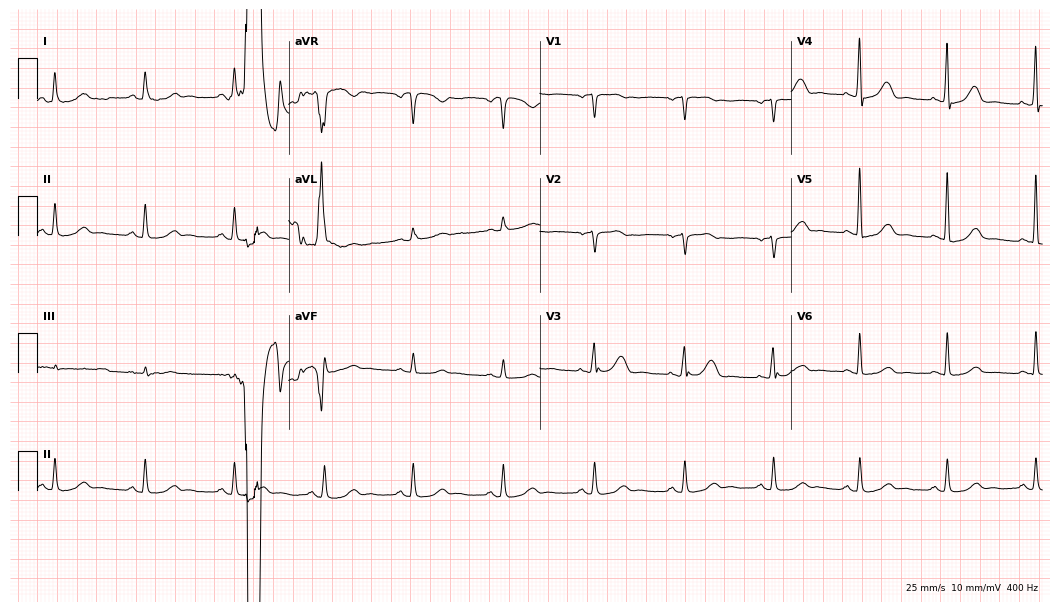
ECG — a female, 58 years old. Screened for six findings — first-degree AV block, right bundle branch block, left bundle branch block, sinus bradycardia, atrial fibrillation, sinus tachycardia — none is recorded.